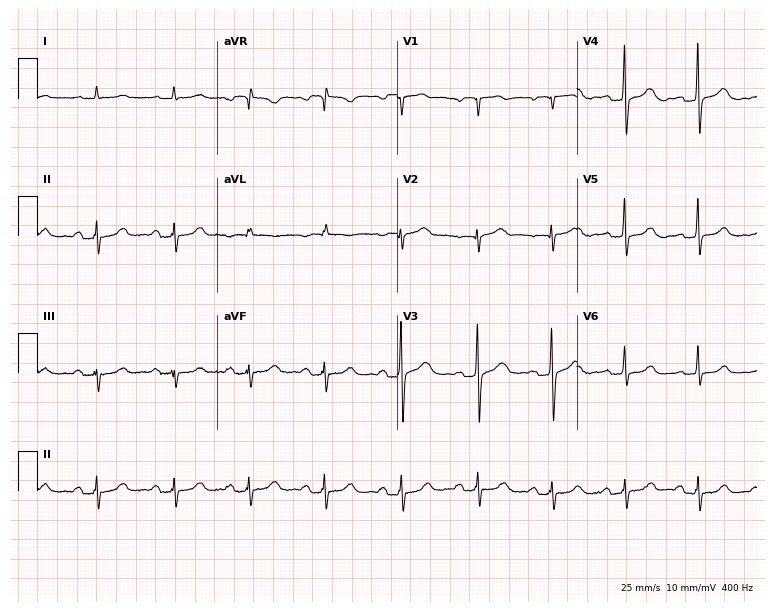
ECG (7.3-second recording at 400 Hz) — an 80-year-old woman. Screened for six findings — first-degree AV block, right bundle branch block (RBBB), left bundle branch block (LBBB), sinus bradycardia, atrial fibrillation (AF), sinus tachycardia — none is recorded.